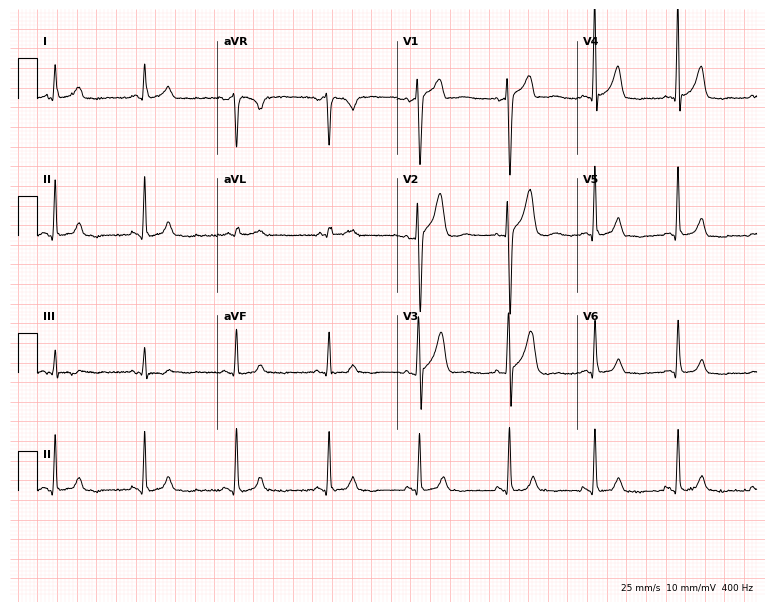
ECG — a 50-year-old male patient. Screened for six findings — first-degree AV block, right bundle branch block (RBBB), left bundle branch block (LBBB), sinus bradycardia, atrial fibrillation (AF), sinus tachycardia — none is recorded.